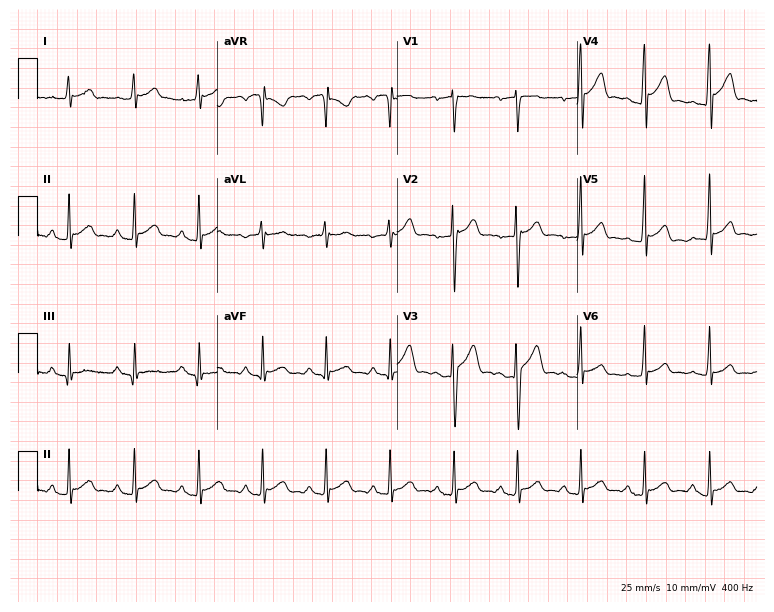
Resting 12-lead electrocardiogram. Patient: a 19-year-old male. Read as a normal ECG.